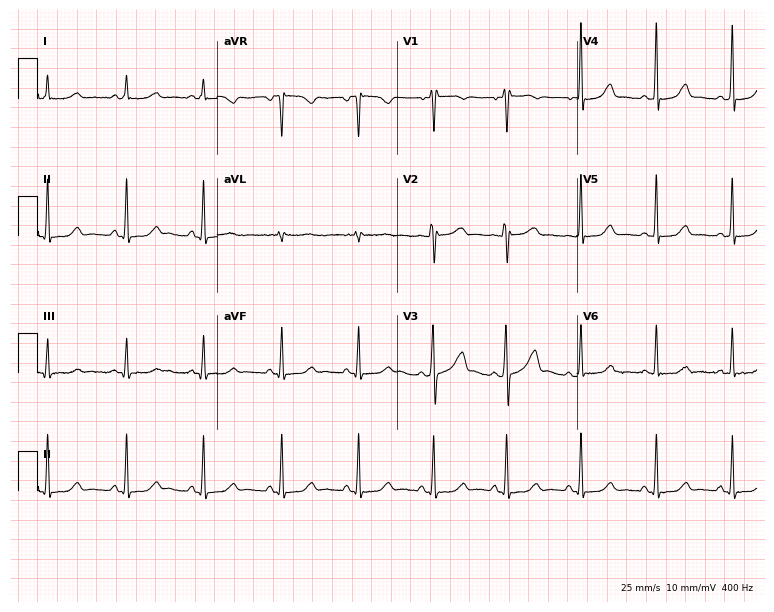
Electrocardiogram (7.3-second recording at 400 Hz), a 34-year-old female patient. Of the six screened findings (first-degree AV block, right bundle branch block, left bundle branch block, sinus bradycardia, atrial fibrillation, sinus tachycardia), none is recorded.